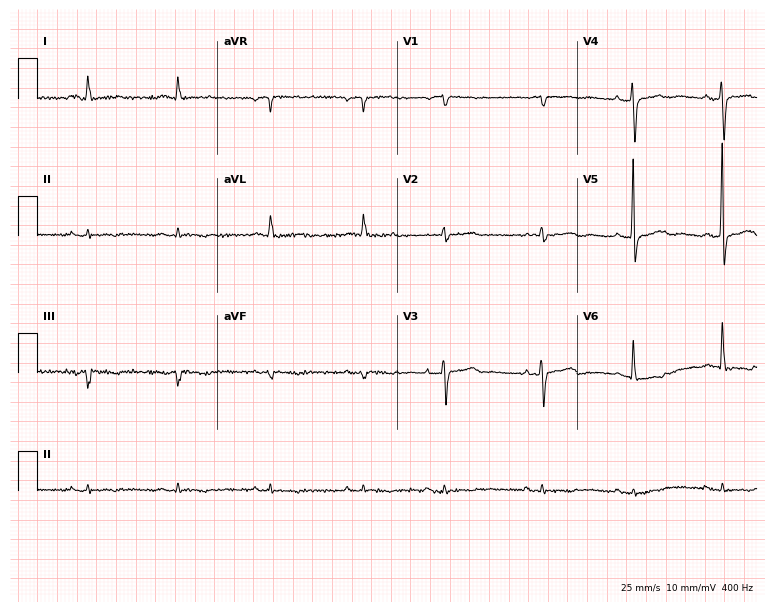
Electrocardiogram (7.3-second recording at 400 Hz), a female patient, 77 years old. Of the six screened findings (first-degree AV block, right bundle branch block, left bundle branch block, sinus bradycardia, atrial fibrillation, sinus tachycardia), none is recorded. Other findings, if any, are not listed.